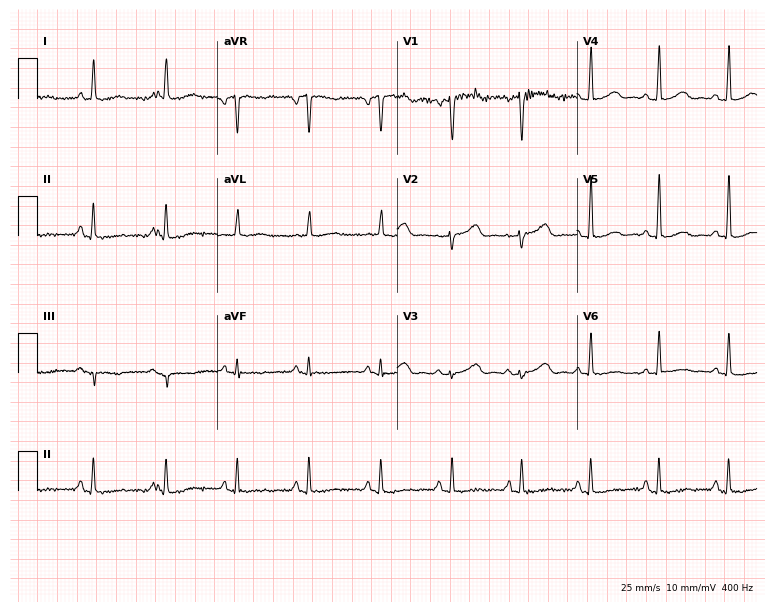
ECG (7.3-second recording at 400 Hz) — a female patient, 74 years old. Screened for six findings — first-degree AV block, right bundle branch block, left bundle branch block, sinus bradycardia, atrial fibrillation, sinus tachycardia — none is recorded. Only these six findings were labelled.